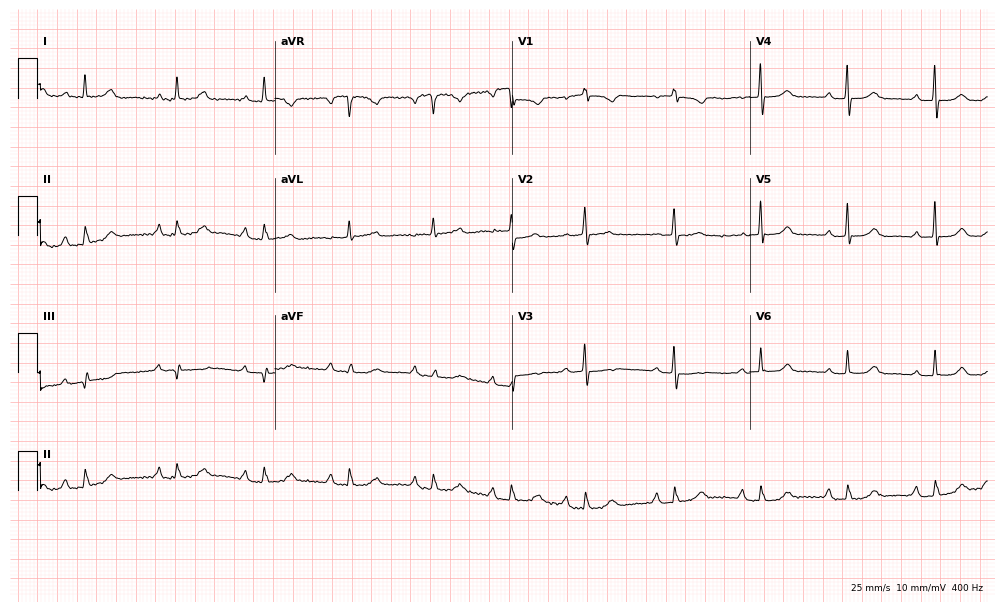
Resting 12-lead electrocardiogram. Patient: a female, 77 years old. Read as a normal ECG.